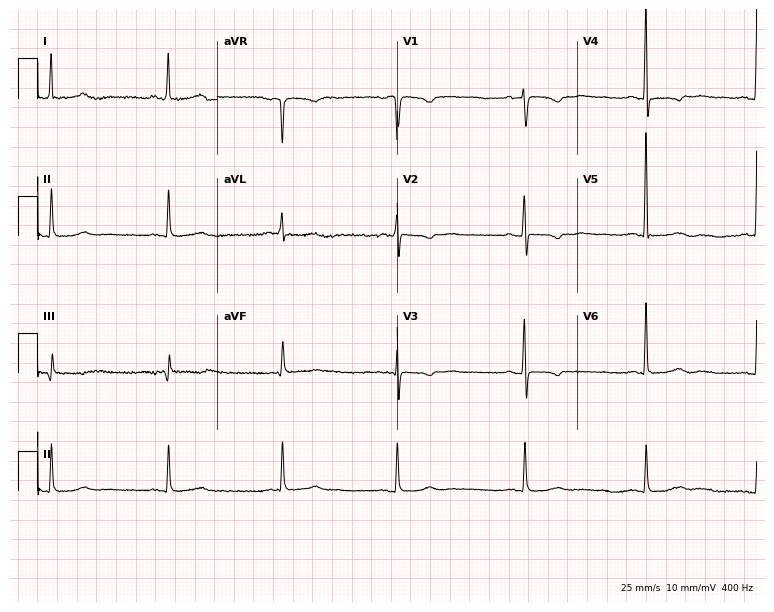
Electrocardiogram, a 75-year-old woman. Interpretation includes sinus bradycardia (a sinus rate of 50 beats per minute or less).